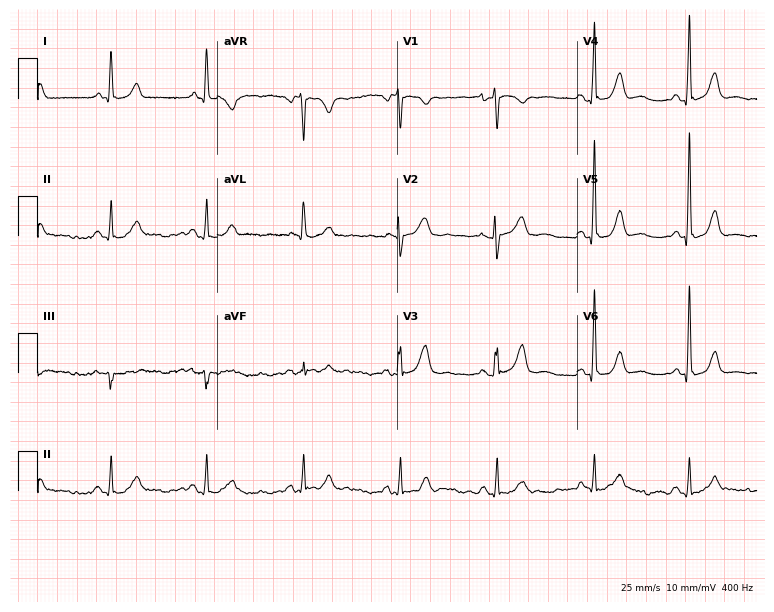
Electrocardiogram, a 62-year-old woman. Of the six screened findings (first-degree AV block, right bundle branch block, left bundle branch block, sinus bradycardia, atrial fibrillation, sinus tachycardia), none is recorded. Other findings, if any, are not listed.